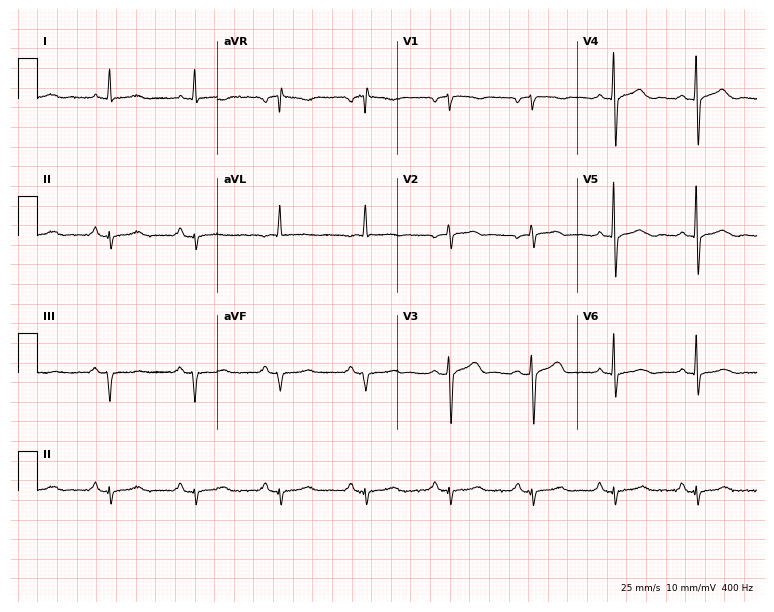
Standard 12-lead ECG recorded from a 70-year-old man. None of these six findings is recorded: first-degree AV block, right bundle branch block, left bundle branch block, sinus bradycardia, atrial fibrillation, sinus tachycardia. Other findings, if any, are not listed.